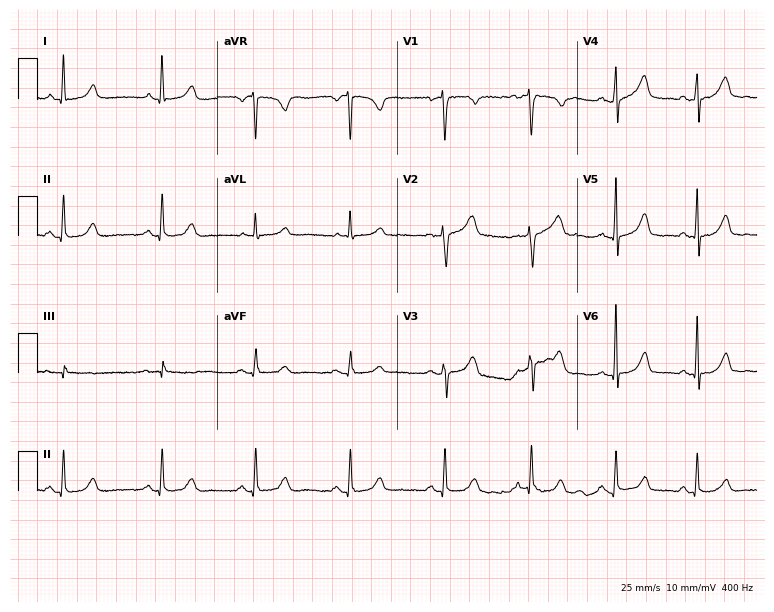
12-lead ECG (7.3-second recording at 400 Hz) from a 51-year-old female. Labelled as a normal ECG.